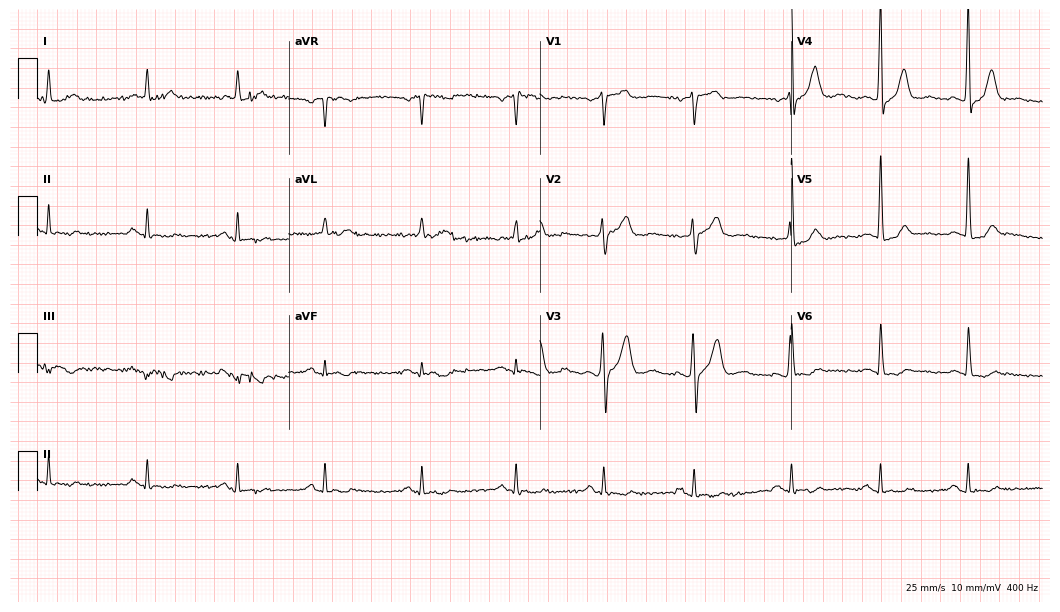
Resting 12-lead electrocardiogram. Patient: a 76-year-old man. None of these six findings is recorded: first-degree AV block, right bundle branch block (RBBB), left bundle branch block (LBBB), sinus bradycardia, atrial fibrillation (AF), sinus tachycardia. Findings outside these six are not listed.